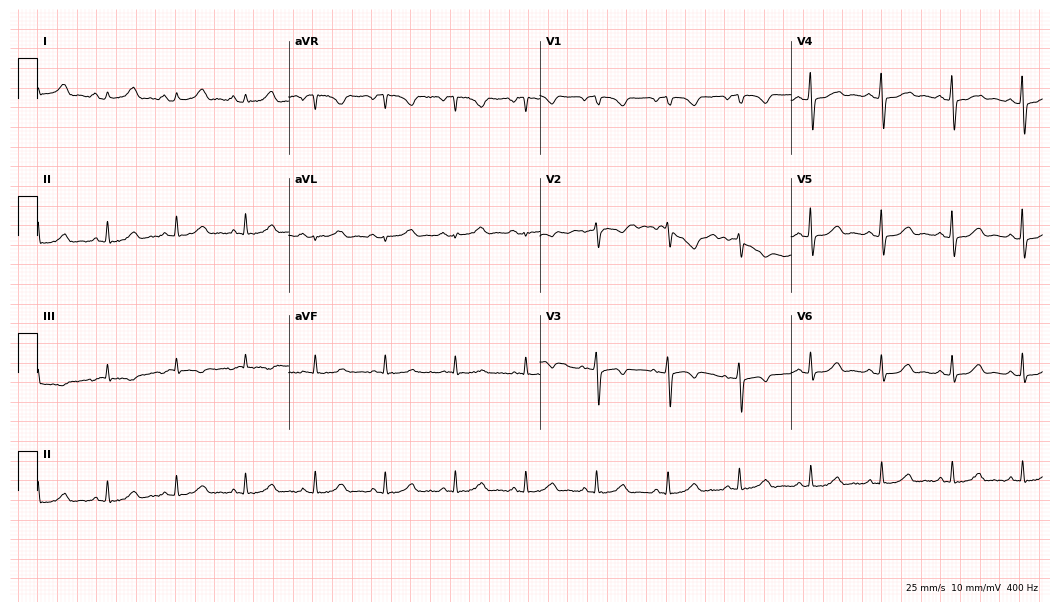
12-lead ECG from a female, 63 years old (10.2-second recording at 400 Hz). Recorded interpretation: within normal limits.